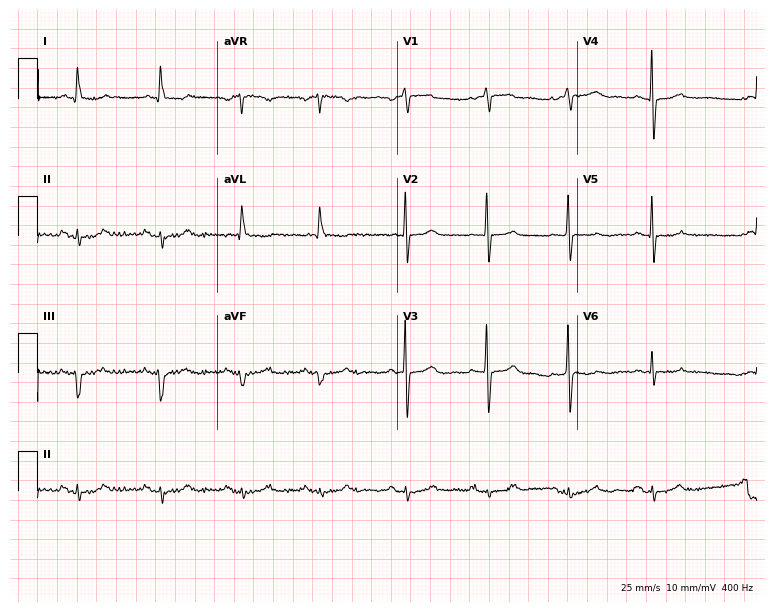
12-lead ECG from a female patient, 87 years old. No first-degree AV block, right bundle branch block (RBBB), left bundle branch block (LBBB), sinus bradycardia, atrial fibrillation (AF) or sinus tachycardia recorded for this tracing. Findings outside these six are not listed.